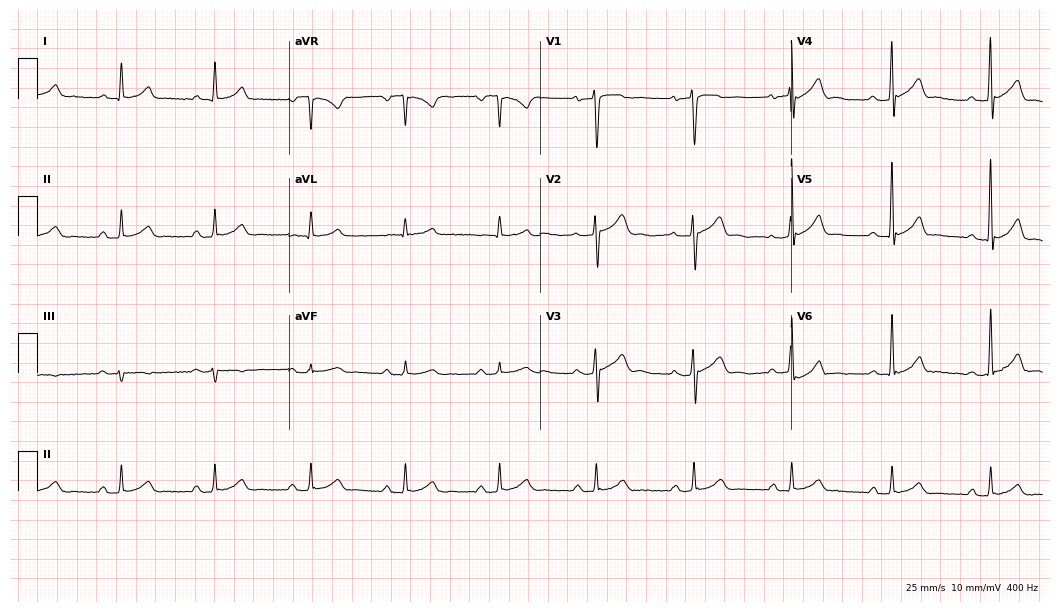
ECG (10.2-second recording at 400 Hz) — a male patient, 48 years old. Labelled as a normal ECG.